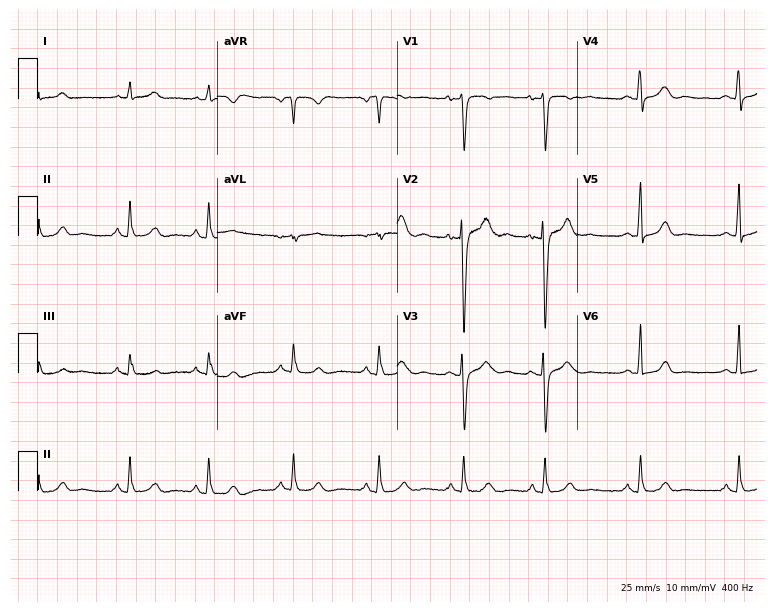
ECG (7.3-second recording at 400 Hz) — a female, 21 years old. Labelled as a normal ECG.